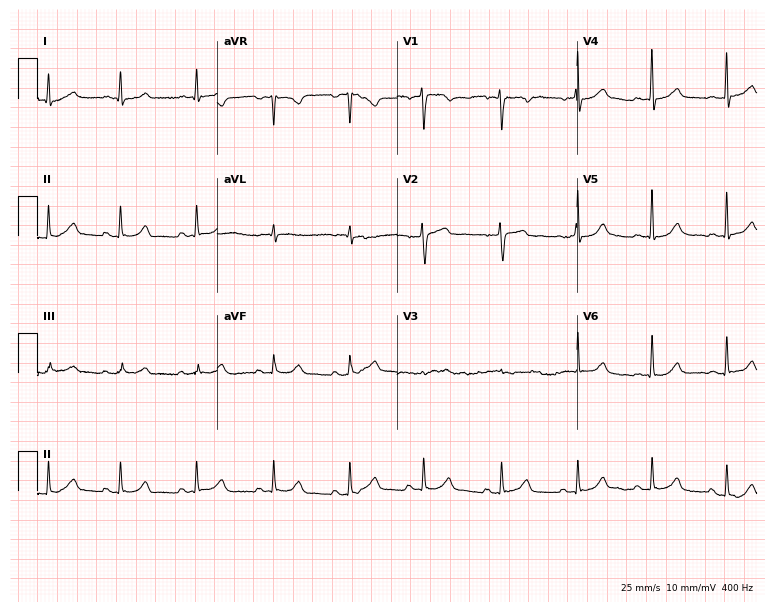
Electrocardiogram, a 32-year-old man. Overall reading on record: normal ECG.